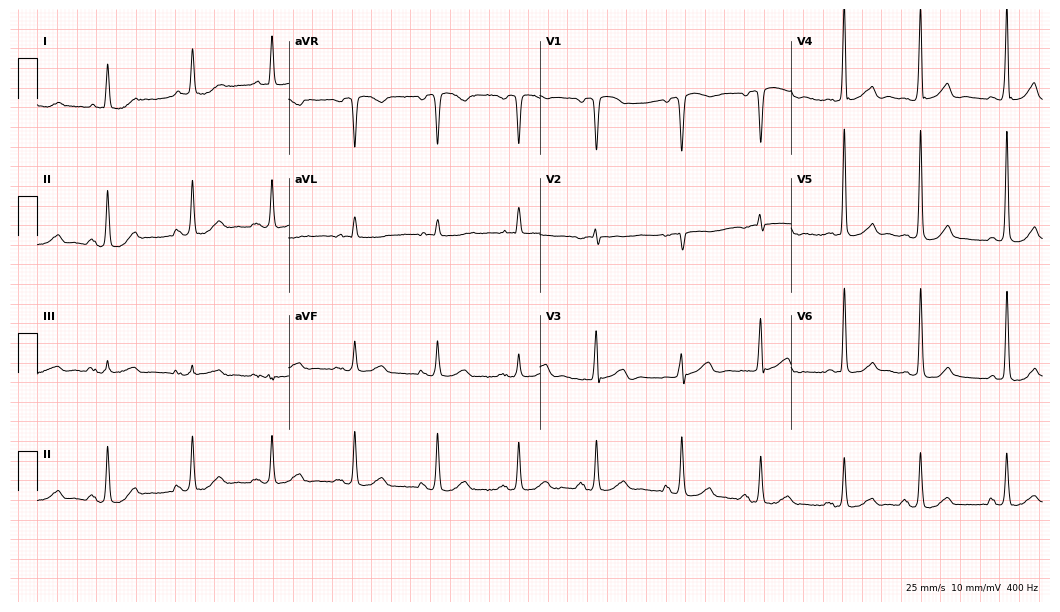
Electrocardiogram, a 72-year-old male. Of the six screened findings (first-degree AV block, right bundle branch block, left bundle branch block, sinus bradycardia, atrial fibrillation, sinus tachycardia), none is recorded.